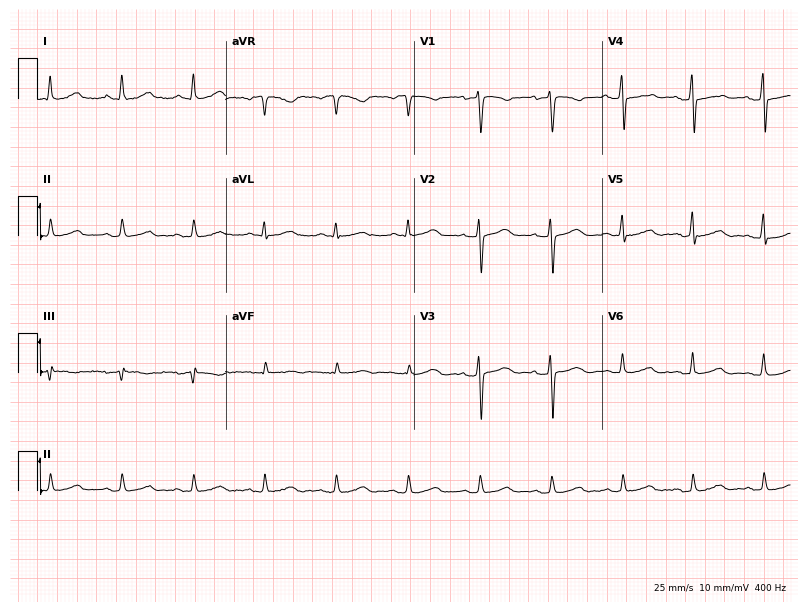
Standard 12-lead ECG recorded from a female patient, 54 years old. None of these six findings is recorded: first-degree AV block, right bundle branch block, left bundle branch block, sinus bradycardia, atrial fibrillation, sinus tachycardia. Other findings, if any, are not listed.